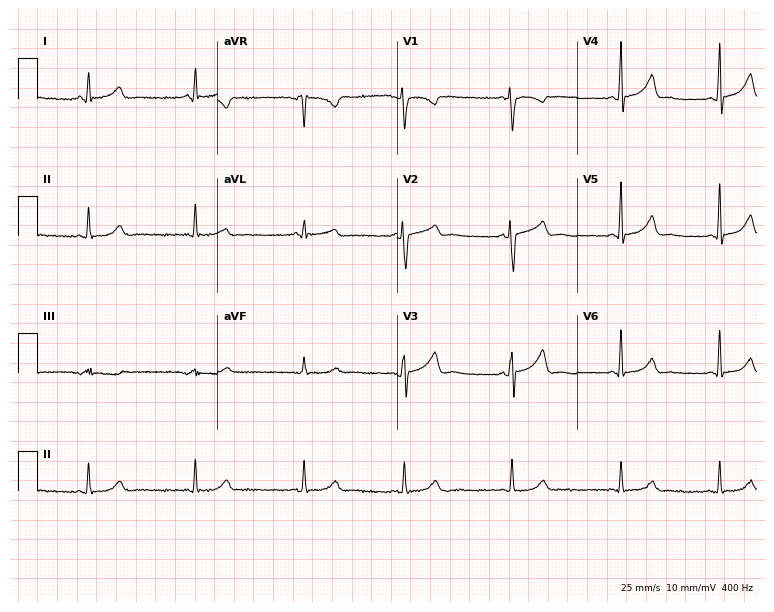
Electrocardiogram, a 33-year-old female. Overall reading on record: normal ECG.